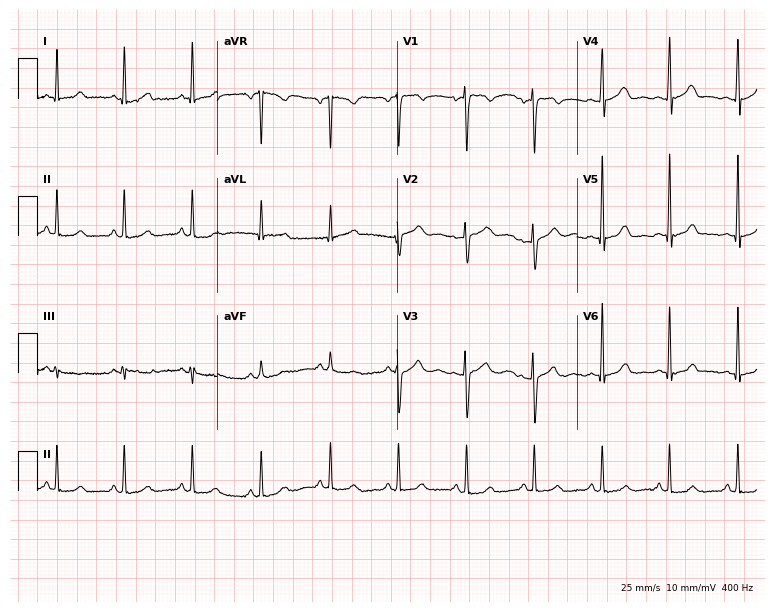
Standard 12-lead ECG recorded from a 31-year-old woman (7.3-second recording at 400 Hz). None of these six findings is recorded: first-degree AV block, right bundle branch block, left bundle branch block, sinus bradycardia, atrial fibrillation, sinus tachycardia. Other findings, if any, are not listed.